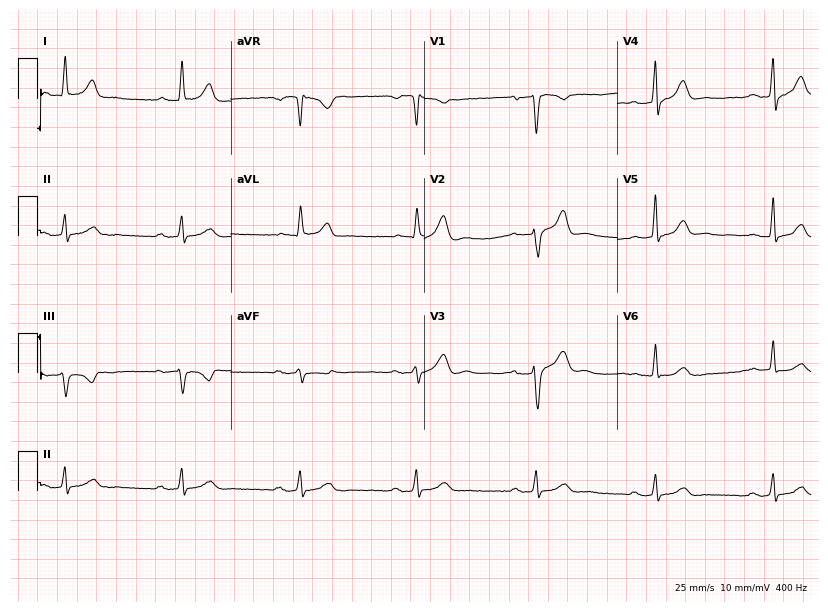
Electrocardiogram, a 56-year-old man. Interpretation includes first-degree AV block, sinus bradycardia (a sinus rate of 50 beats per minute or less).